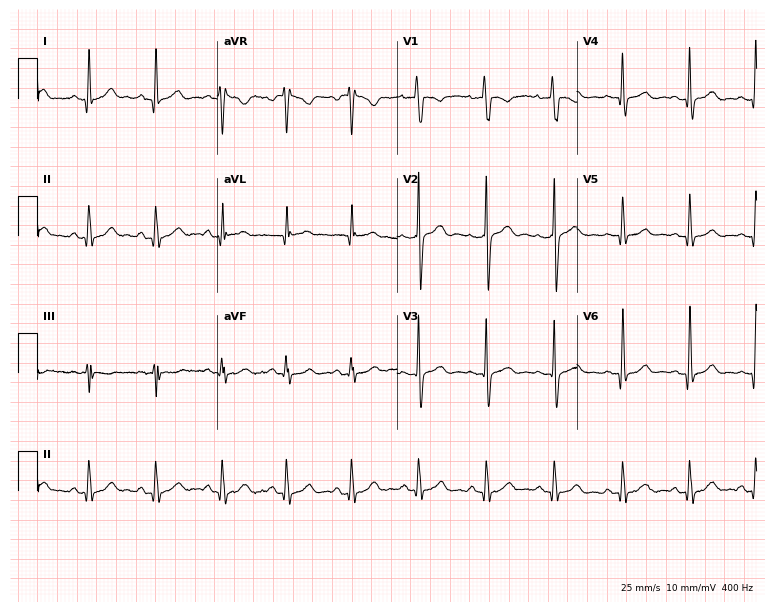
Resting 12-lead electrocardiogram (7.3-second recording at 400 Hz). Patient: a man, 38 years old. Read as a normal ECG.